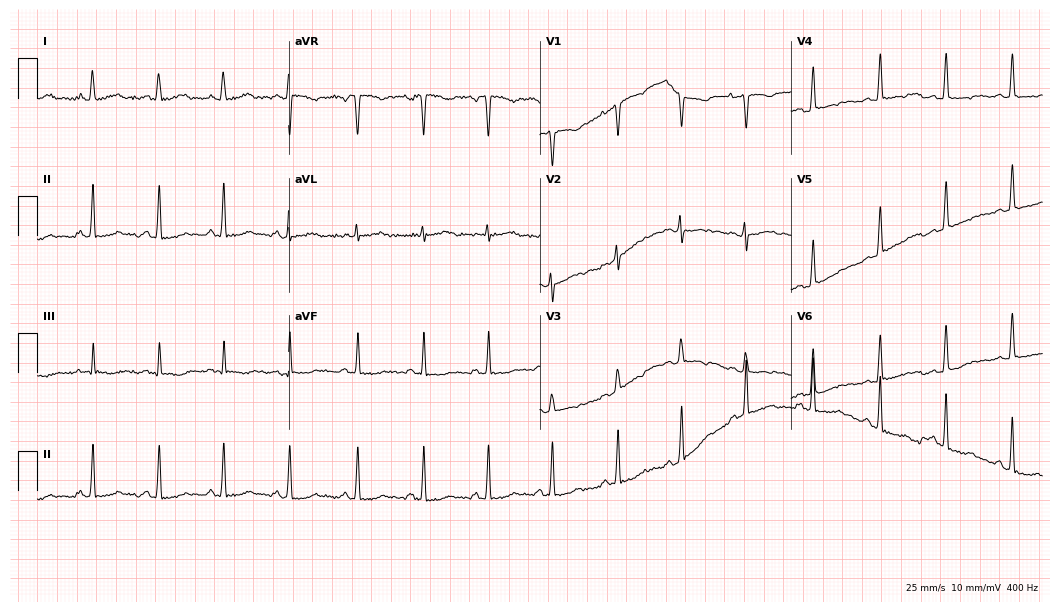
Electrocardiogram, a woman, 23 years old. Overall reading on record: normal ECG.